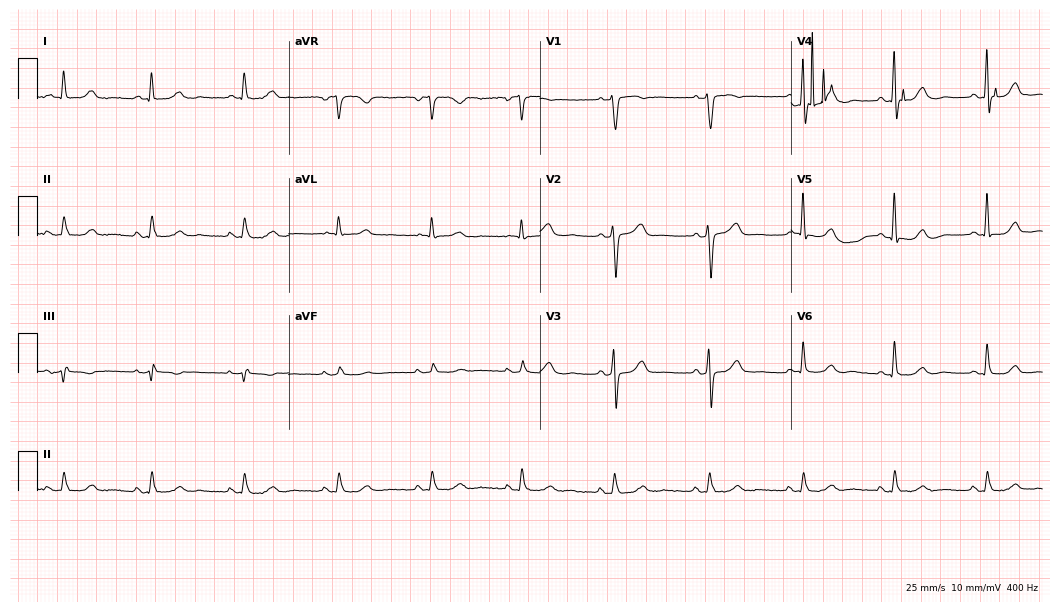
12-lead ECG from a 79-year-old woman. Screened for six findings — first-degree AV block, right bundle branch block, left bundle branch block, sinus bradycardia, atrial fibrillation, sinus tachycardia — none is recorded.